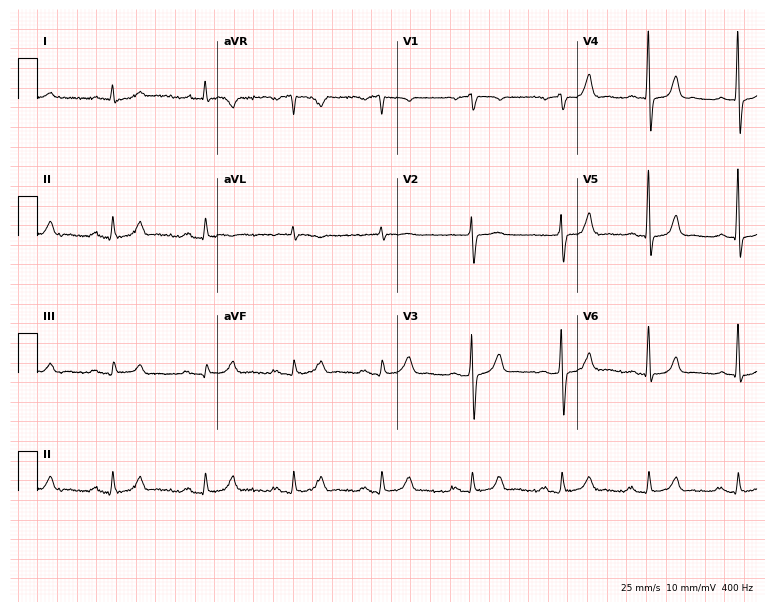
12-lead ECG from a man, 76 years old. No first-degree AV block, right bundle branch block (RBBB), left bundle branch block (LBBB), sinus bradycardia, atrial fibrillation (AF) or sinus tachycardia recorded for this tracing. Only these six findings were labelled.